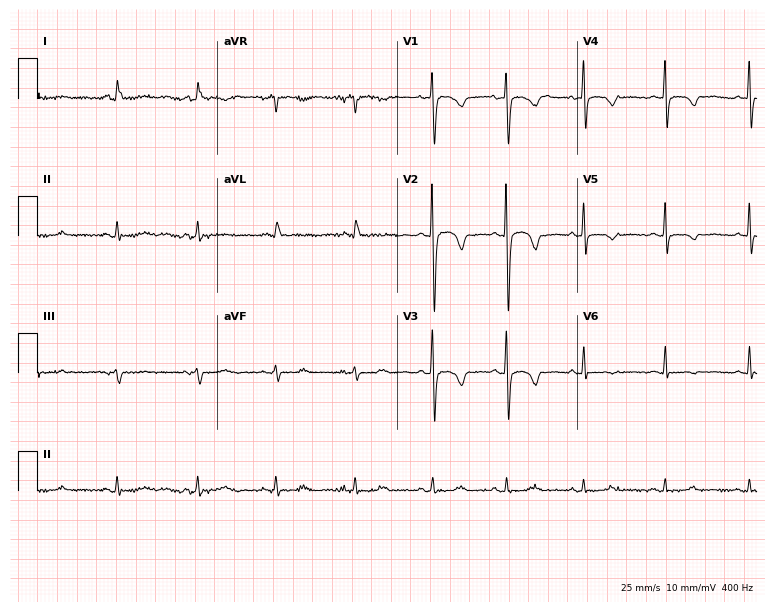
Resting 12-lead electrocardiogram (7.3-second recording at 400 Hz). Patient: a woman, 70 years old. None of these six findings is recorded: first-degree AV block, right bundle branch block, left bundle branch block, sinus bradycardia, atrial fibrillation, sinus tachycardia.